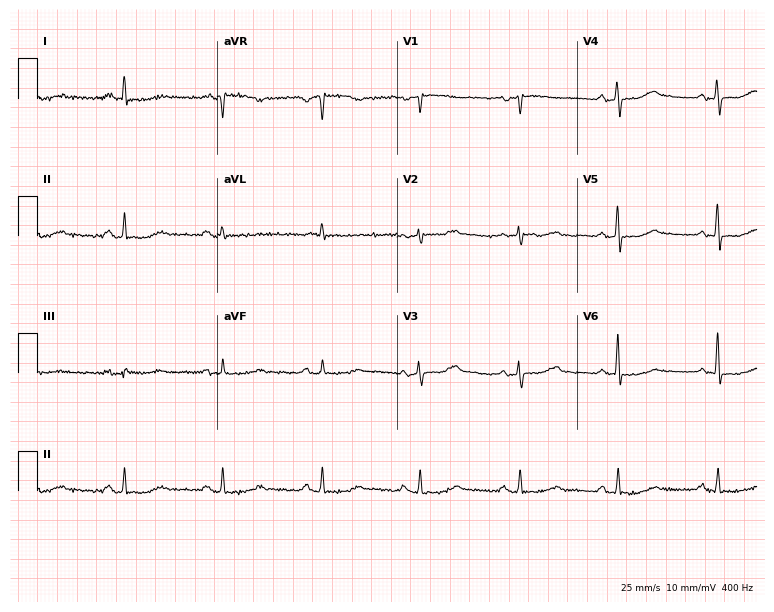
Resting 12-lead electrocardiogram (7.3-second recording at 400 Hz). Patient: a 64-year-old female. None of these six findings is recorded: first-degree AV block, right bundle branch block, left bundle branch block, sinus bradycardia, atrial fibrillation, sinus tachycardia.